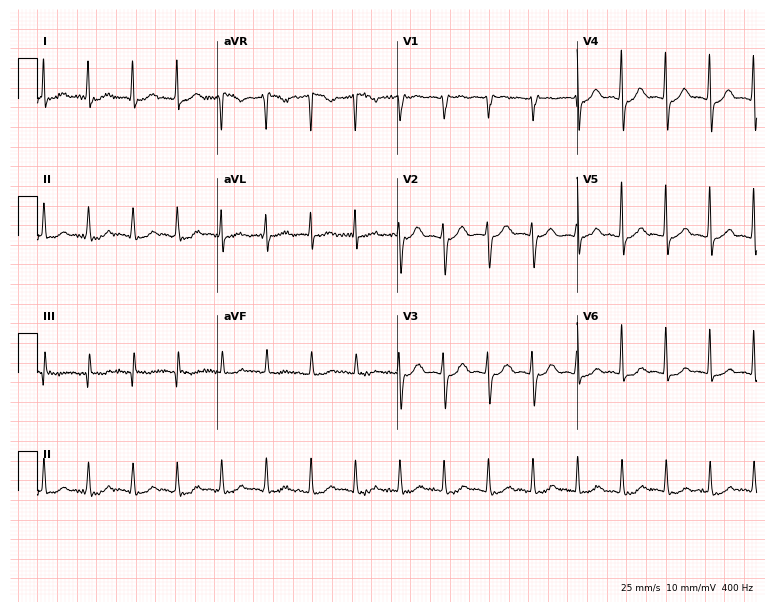
12-lead ECG (7.3-second recording at 400 Hz) from a female, 78 years old. Findings include sinus tachycardia (a sinus rate of 100 beats per minute or more).